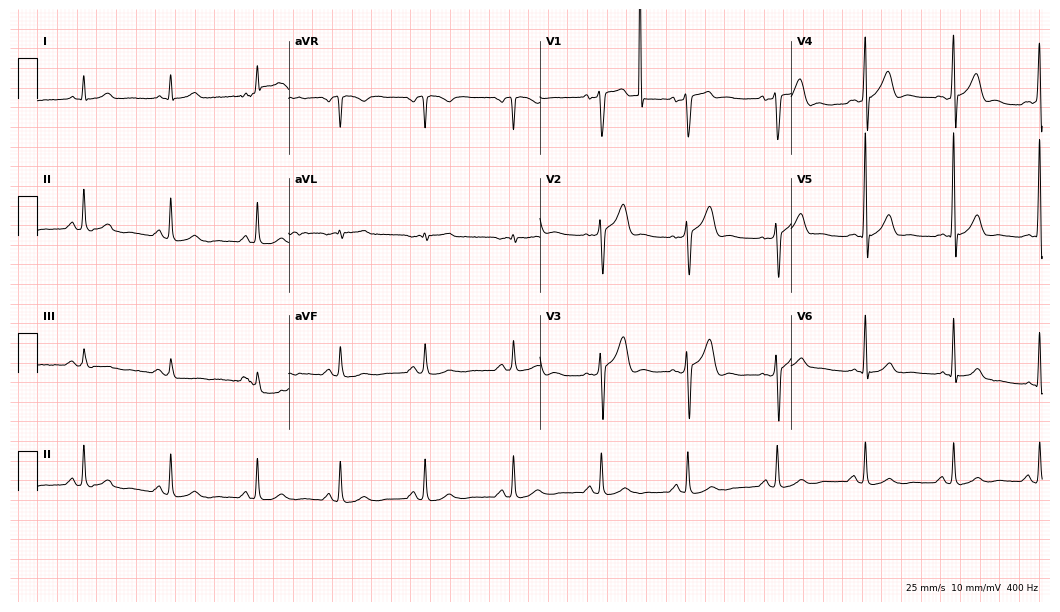
Resting 12-lead electrocardiogram (10.2-second recording at 400 Hz). Patient: a male, 50 years old. Read as a normal ECG.